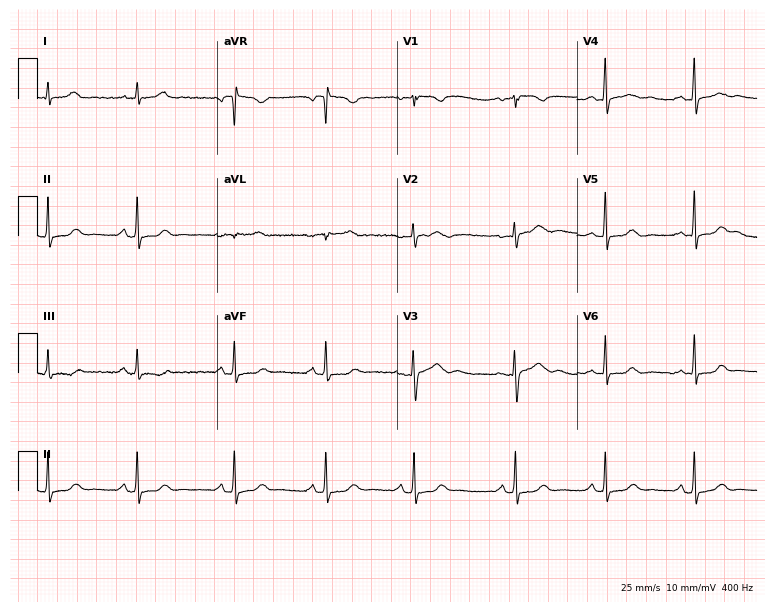
12-lead ECG from a 30-year-old female patient (7.3-second recording at 400 Hz). Recorded interpretation: within normal limits.